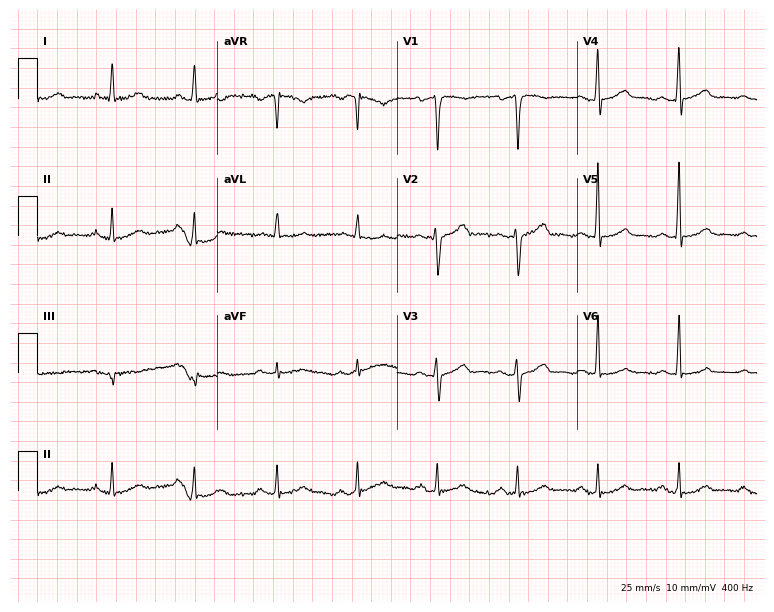
Electrocardiogram (7.3-second recording at 400 Hz), a man, 59 years old. Overall reading on record: normal ECG.